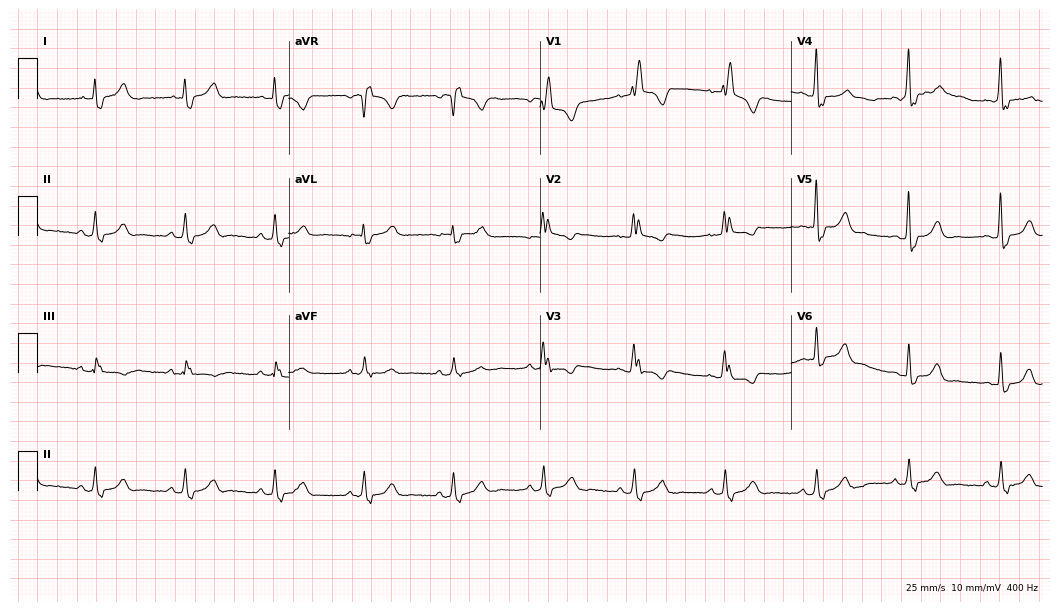
Electrocardiogram (10.2-second recording at 400 Hz), a 53-year-old female patient. Interpretation includes right bundle branch block.